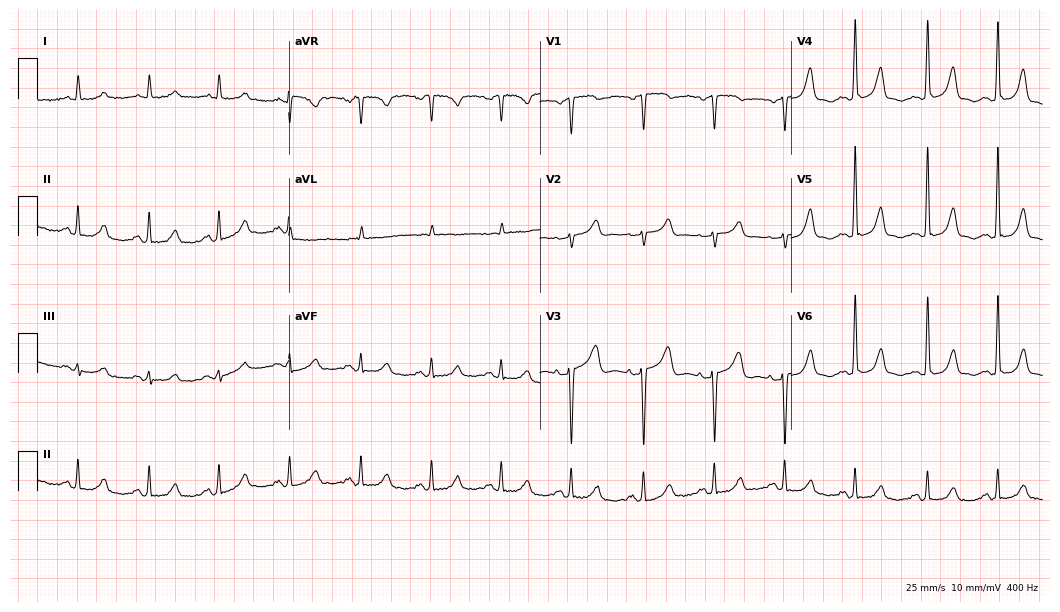
12-lead ECG from a female, 81 years old. Labelled as a normal ECG.